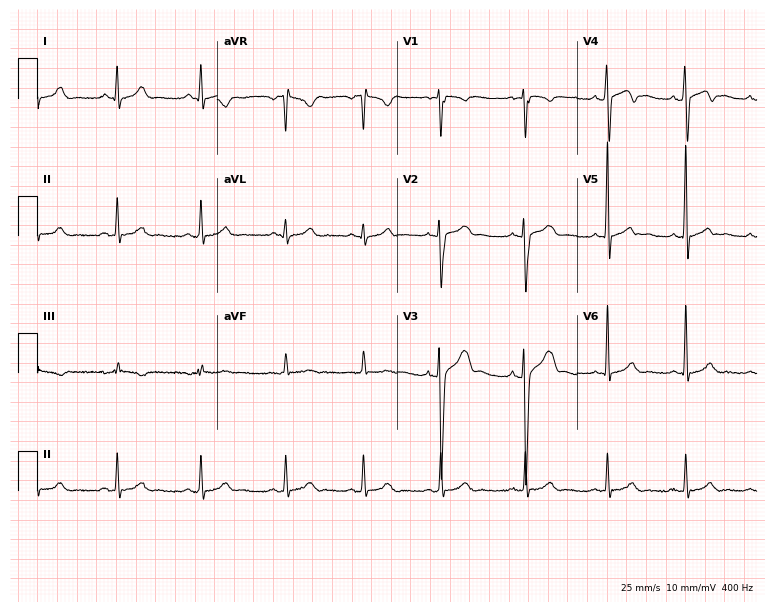
Resting 12-lead electrocardiogram. Patient: a man, 20 years old. Read as a normal ECG.